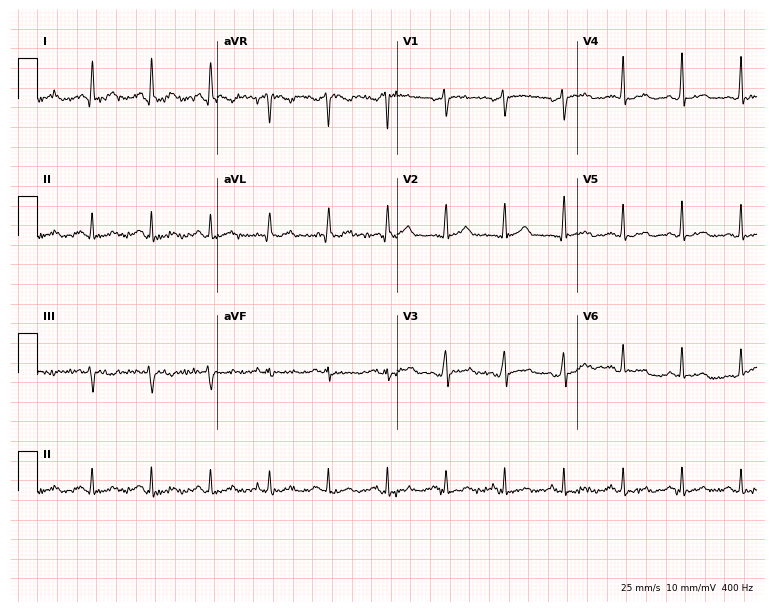
12-lead ECG from a man, 49 years old. Screened for six findings — first-degree AV block, right bundle branch block, left bundle branch block, sinus bradycardia, atrial fibrillation, sinus tachycardia — none is recorded.